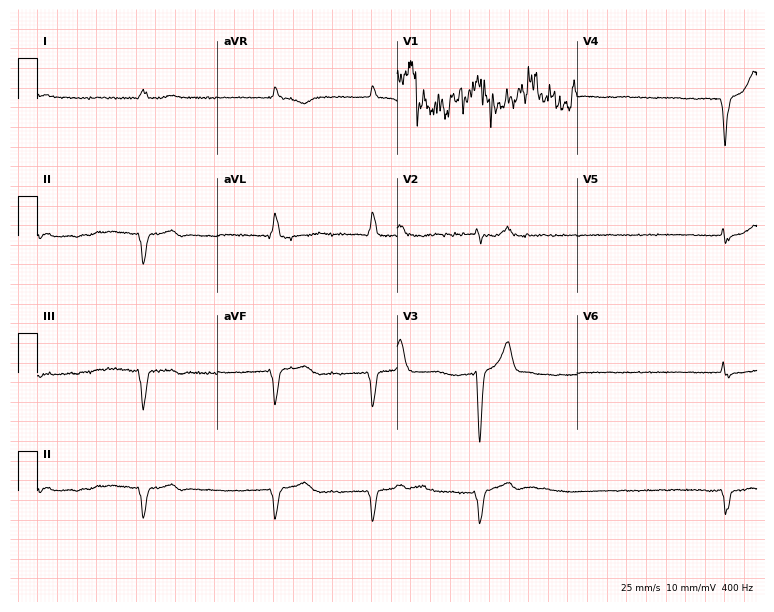
Standard 12-lead ECG recorded from a 64-year-old male. None of these six findings is recorded: first-degree AV block, right bundle branch block, left bundle branch block, sinus bradycardia, atrial fibrillation, sinus tachycardia. Findings outside these six are not listed.